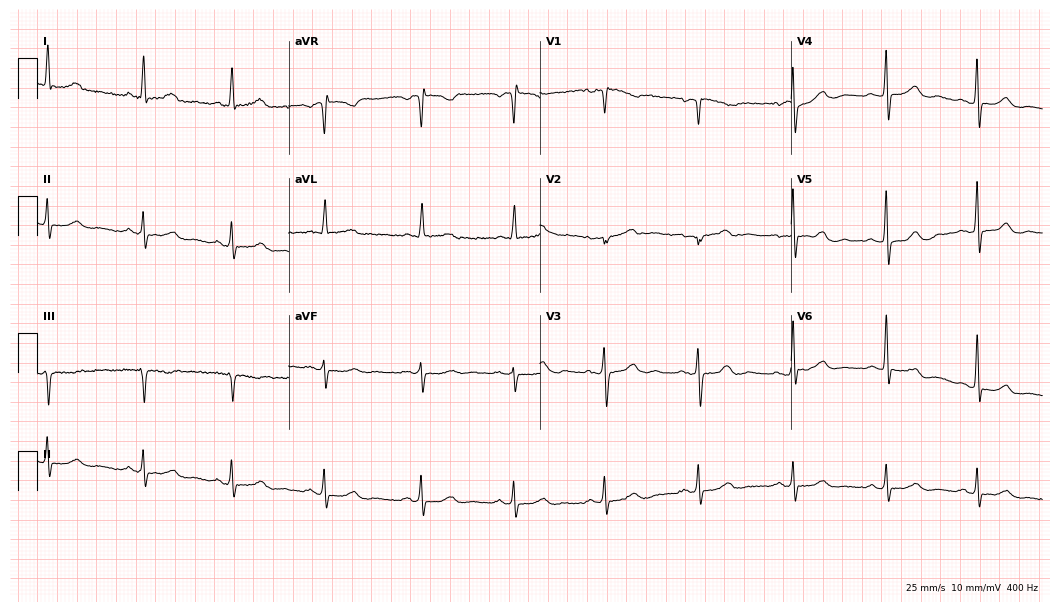
12-lead ECG from a 62-year-old female (10.2-second recording at 400 Hz). Recorded interpretation: within normal limits.